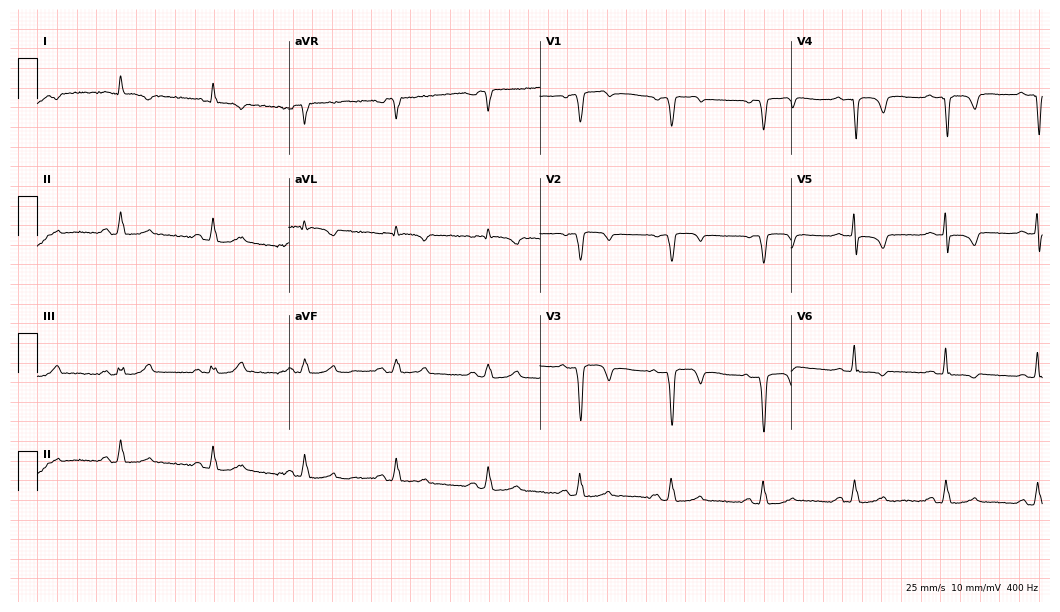
Electrocardiogram, an 80-year-old man. Of the six screened findings (first-degree AV block, right bundle branch block (RBBB), left bundle branch block (LBBB), sinus bradycardia, atrial fibrillation (AF), sinus tachycardia), none is recorded.